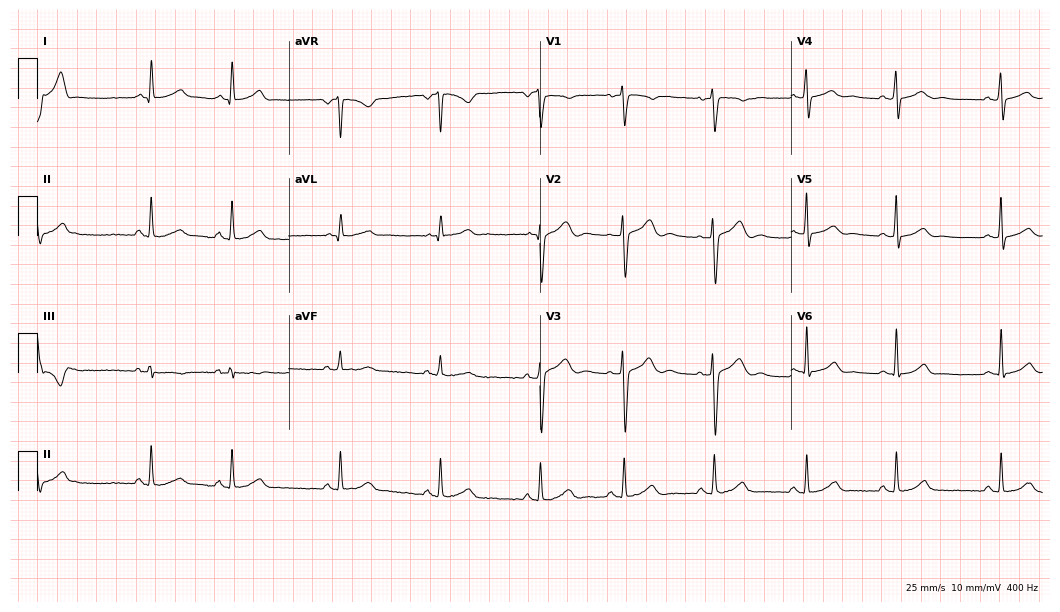
12-lead ECG from a woman, 22 years old. Screened for six findings — first-degree AV block, right bundle branch block, left bundle branch block, sinus bradycardia, atrial fibrillation, sinus tachycardia — none is recorded.